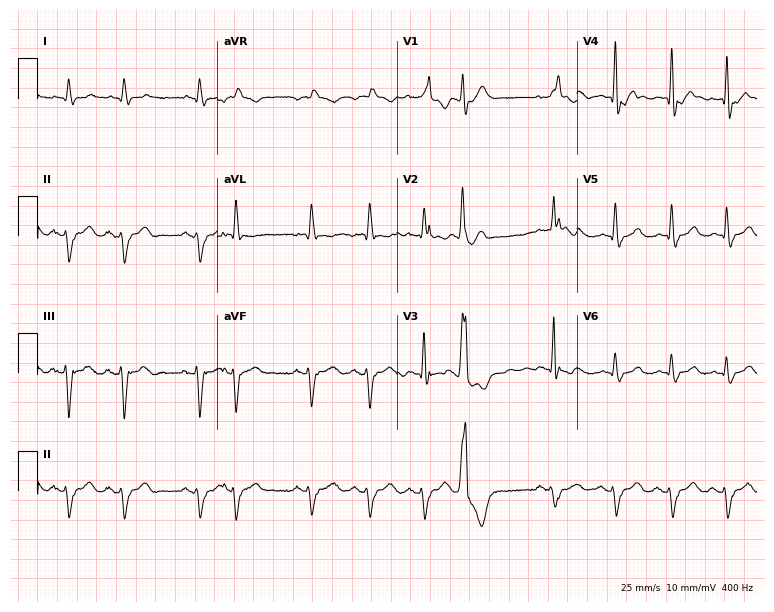
Electrocardiogram, a 72-year-old male. Interpretation includes right bundle branch block, sinus tachycardia (a sinus rate of 100 beats per minute or more).